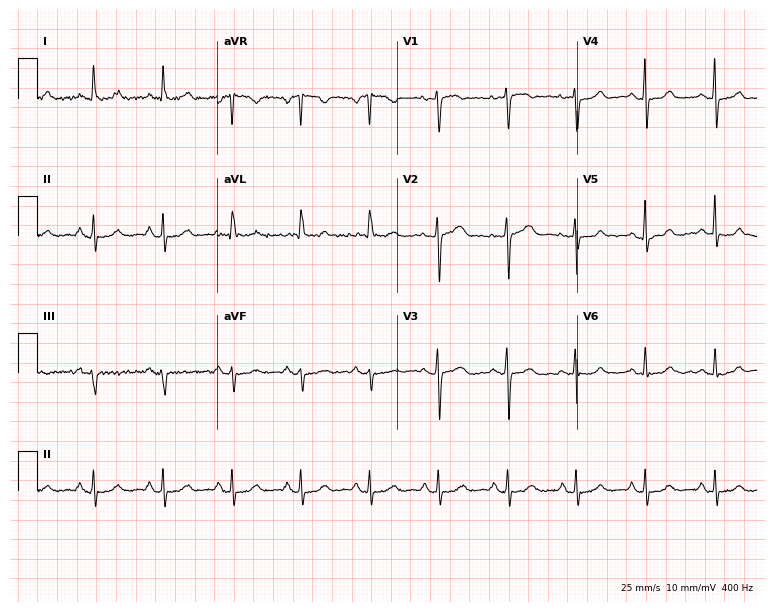
Standard 12-lead ECG recorded from a female patient, 56 years old. Read as a normal ECG.